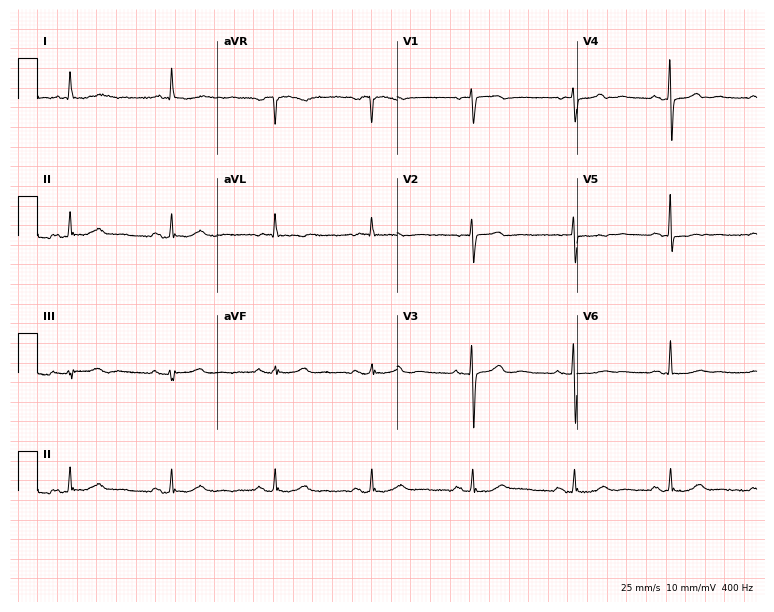
12-lead ECG (7.3-second recording at 400 Hz) from a 71-year-old woman. Labelled as a normal ECG.